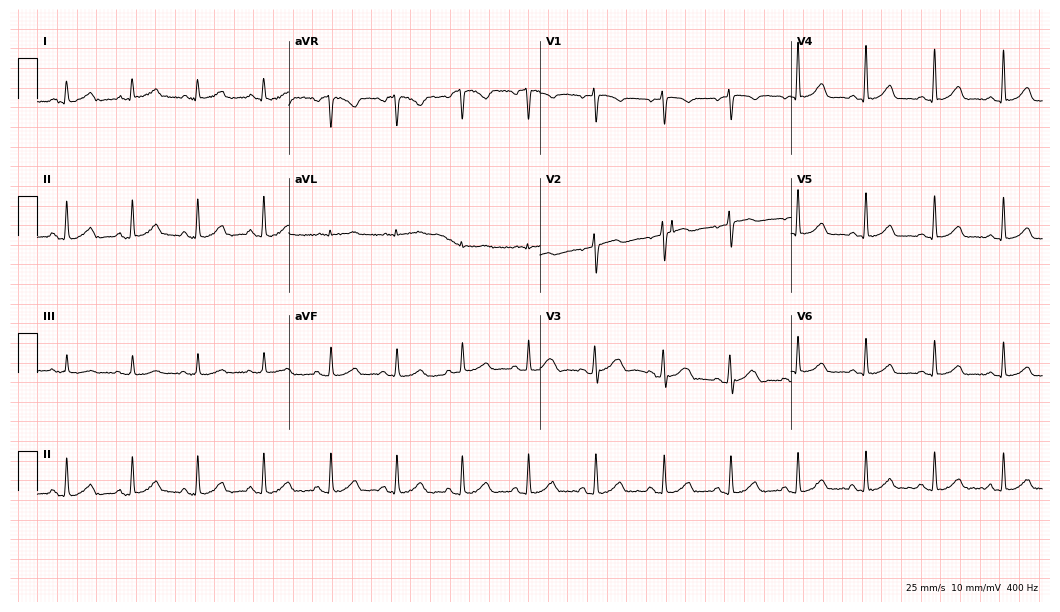
12-lead ECG (10.2-second recording at 400 Hz) from a female patient, 52 years old. Screened for six findings — first-degree AV block, right bundle branch block, left bundle branch block, sinus bradycardia, atrial fibrillation, sinus tachycardia — none is recorded.